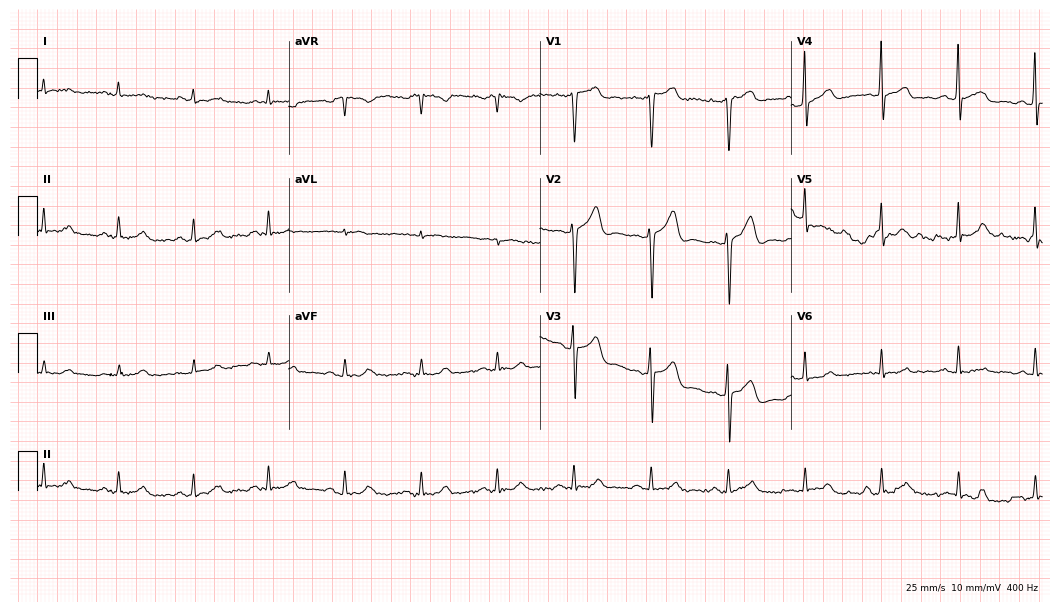
12-lead ECG from a male patient, 50 years old. Recorded interpretation: within normal limits.